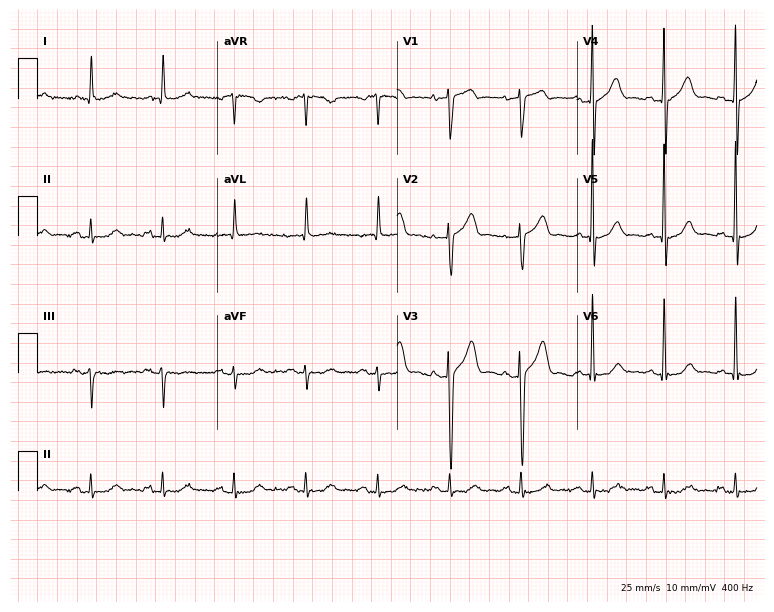
Resting 12-lead electrocardiogram. Patient: an 80-year-old man. Read as a normal ECG.